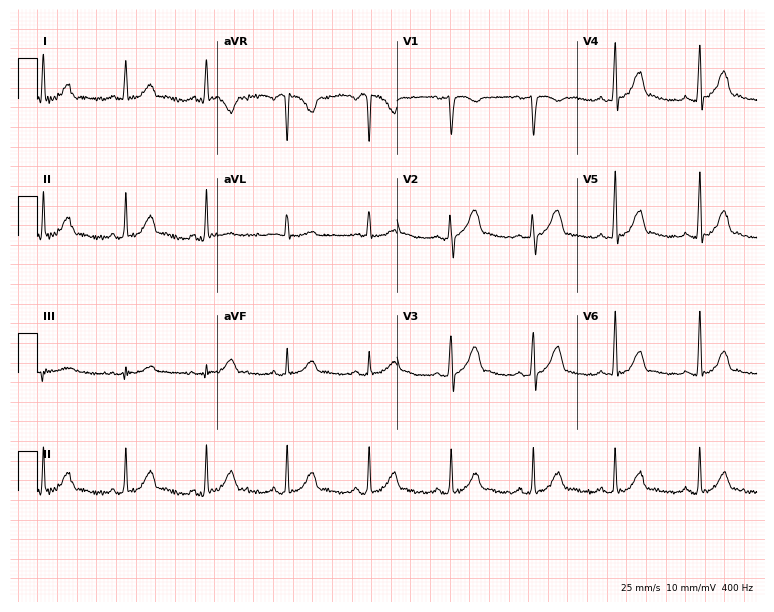
Electrocardiogram, a male patient, 26 years old. Overall reading on record: normal ECG.